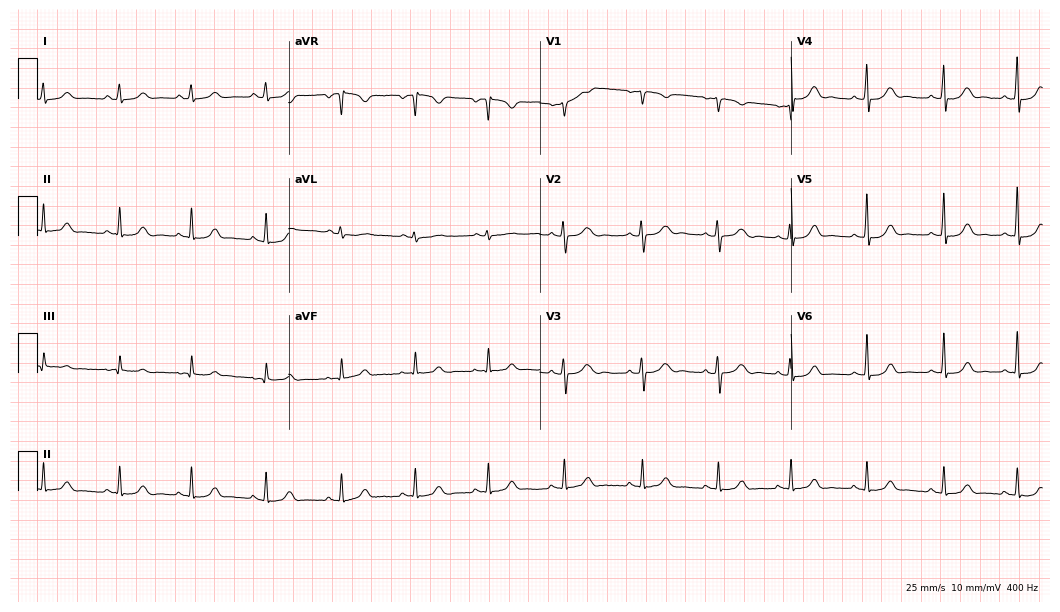
Standard 12-lead ECG recorded from a 19-year-old female (10.2-second recording at 400 Hz). Read as a normal ECG.